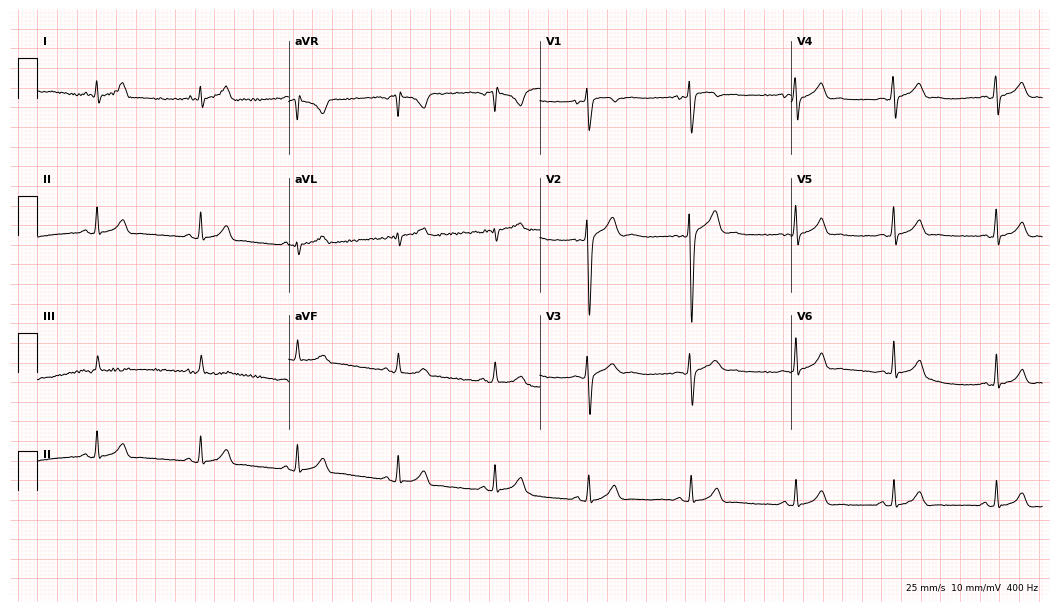
Resting 12-lead electrocardiogram. Patient: a 22-year-old male. Read as a normal ECG.